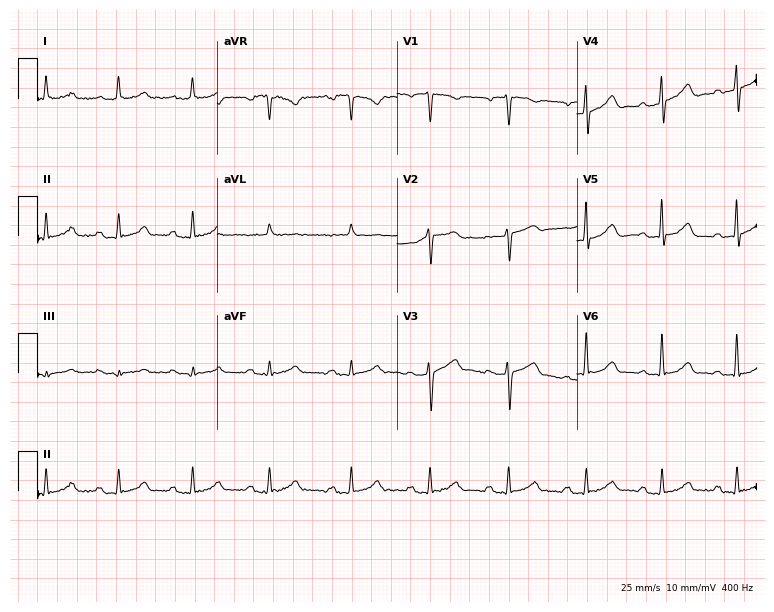
12-lead ECG from a male patient, 75 years old. Findings include first-degree AV block.